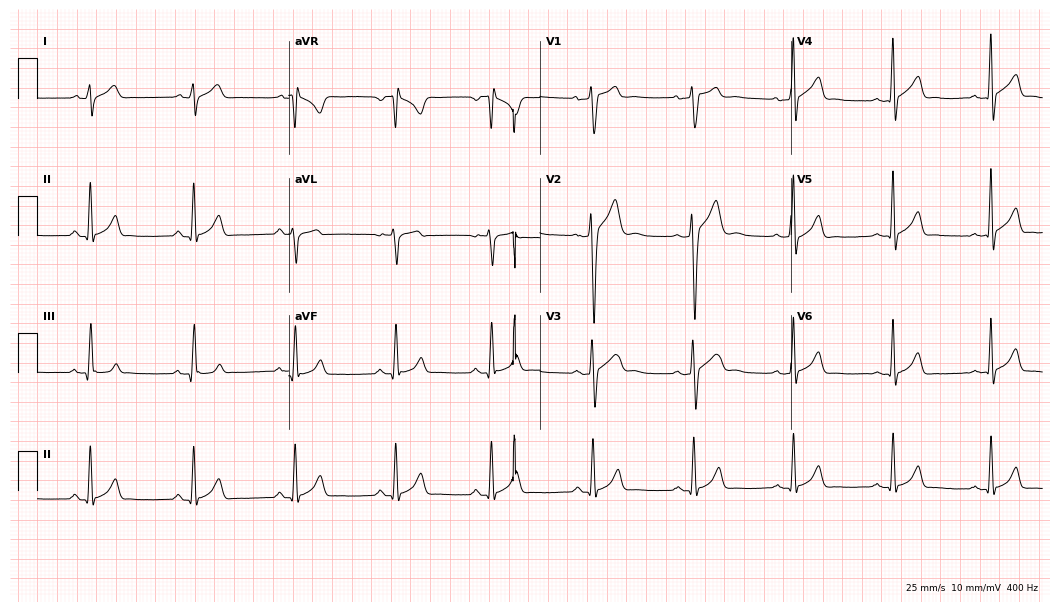
12-lead ECG from a male, 19 years old. No first-degree AV block, right bundle branch block, left bundle branch block, sinus bradycardia, atrial fibrillation or sinus tachycardia recorded for this tracing.